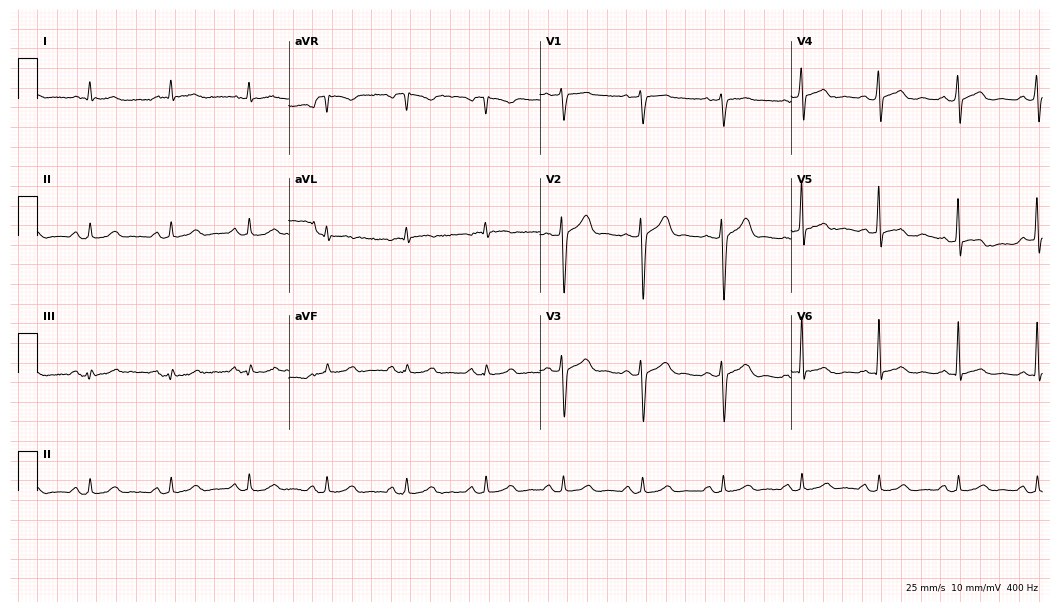
12-lead ECG from a 62-year-old male. Recorded interpretation: within normal limits.